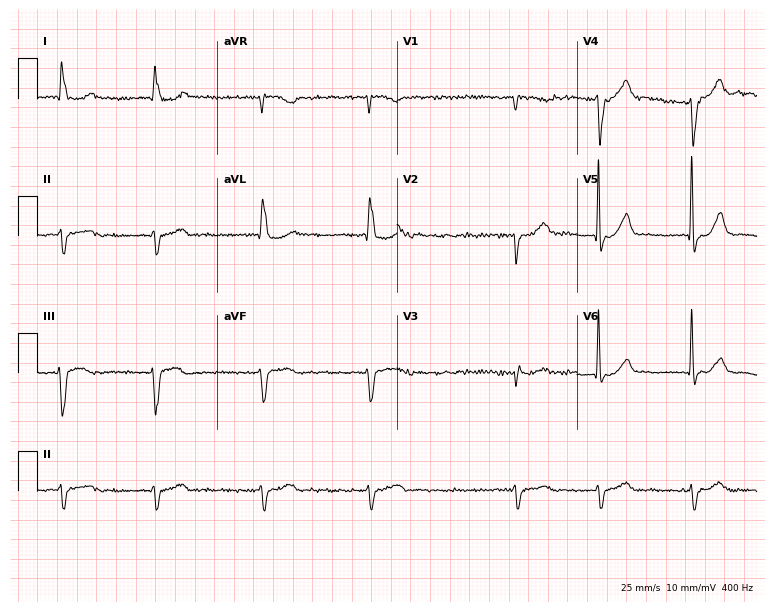
Electrocardiogram (7.3-second recording at 400 Hz), a male patient, 78 years old. Interpretation includes atrial fibrillation (AF).